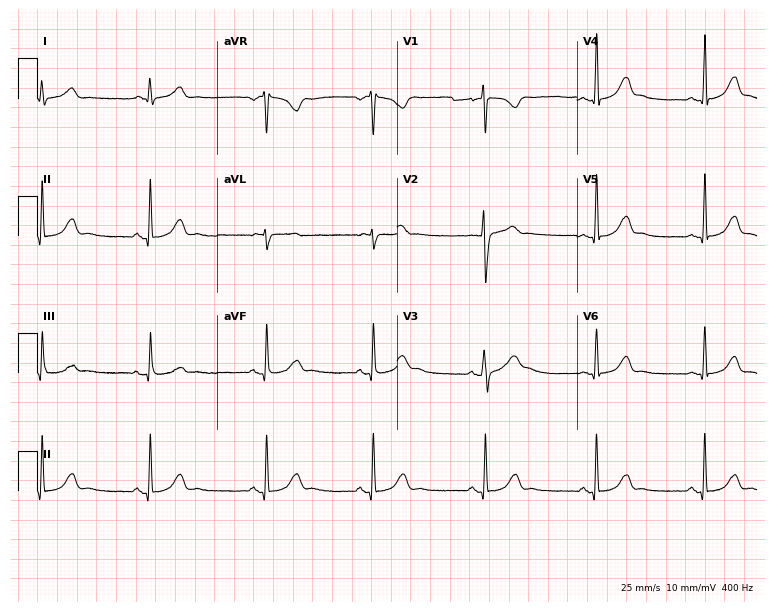
Resting 12-lead electrocardiogram (7.3-second recording at 400 Hz). Patient: a man, 29 years old. Read as a normal ECG.